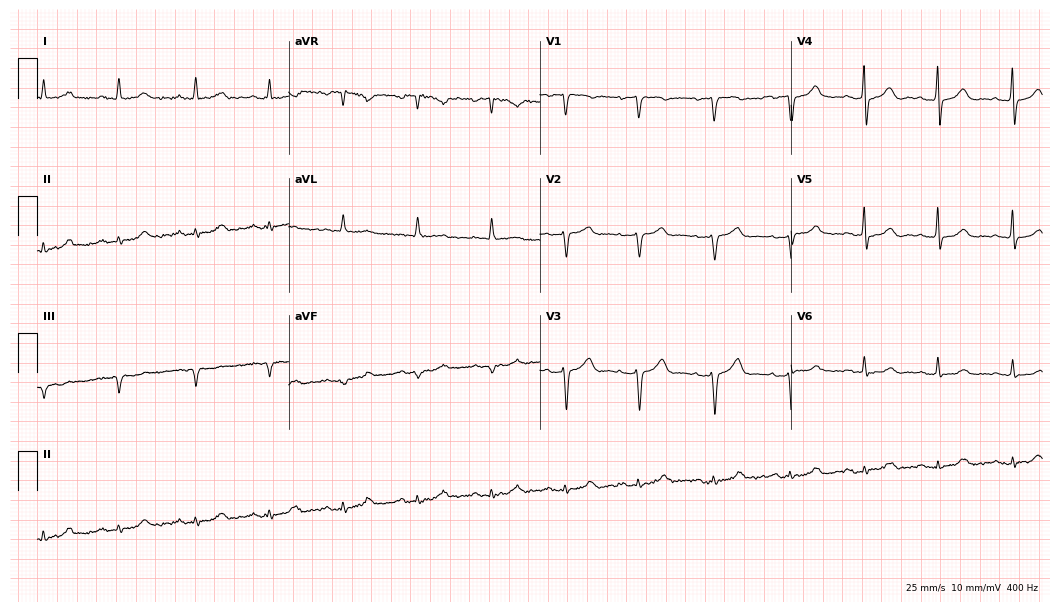
Resting 12-lead electrocardiogram (10.2-second recording at 400 Hz). Patient: a 62-year-old female. None of these six findings is recorded: first-degree AV block, right bundle branch block, left bundle branch block, sinus bradycardia, atrial fibrillation, sinus tachycardia. Only these six findings were labelled.